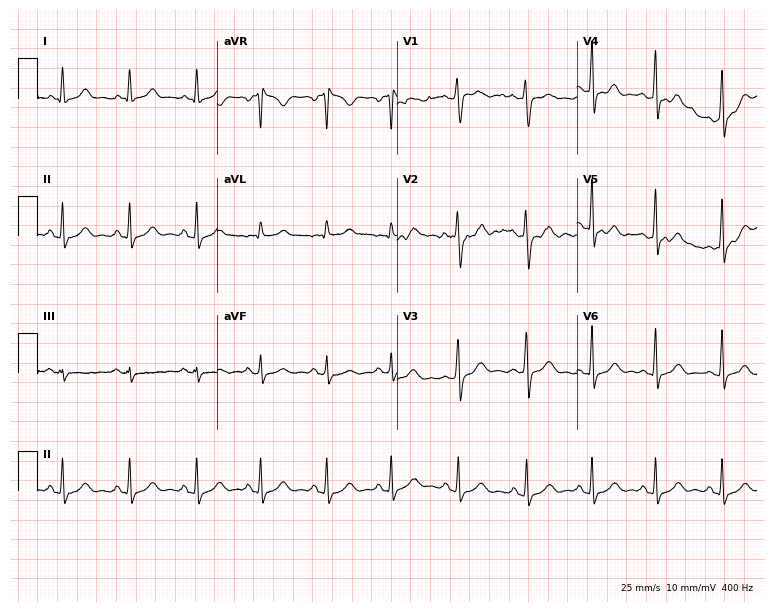
12-lead ECG (7.3-second recording at 400 Hz) from a female patient, 36 years old. Labelled as a normal ECG.